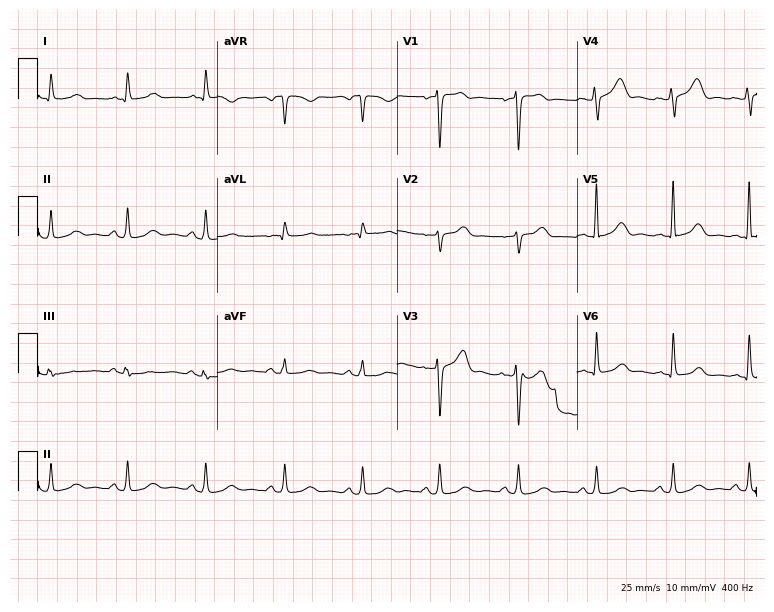
Electrocardiogram, a 47-year-old female. Of the six screened findings (first-degree AV block, right bundle branch block, left bundle branch block, sinus bradycardia, atrial fibrillation, sinus tachycardia), none is recorded. Only these six findings were labelled.